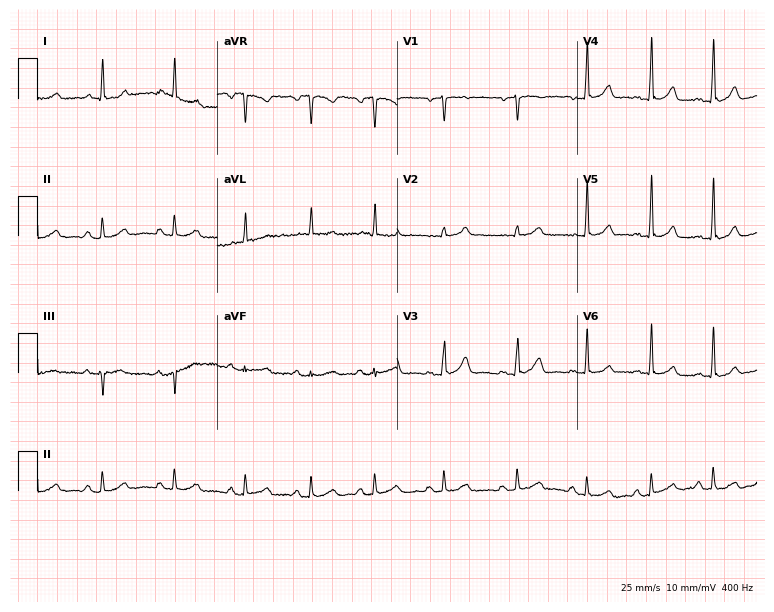
Resting 12-lead electrocardiogram. Patient: a 55-year-old female. Read as a normal ECG.